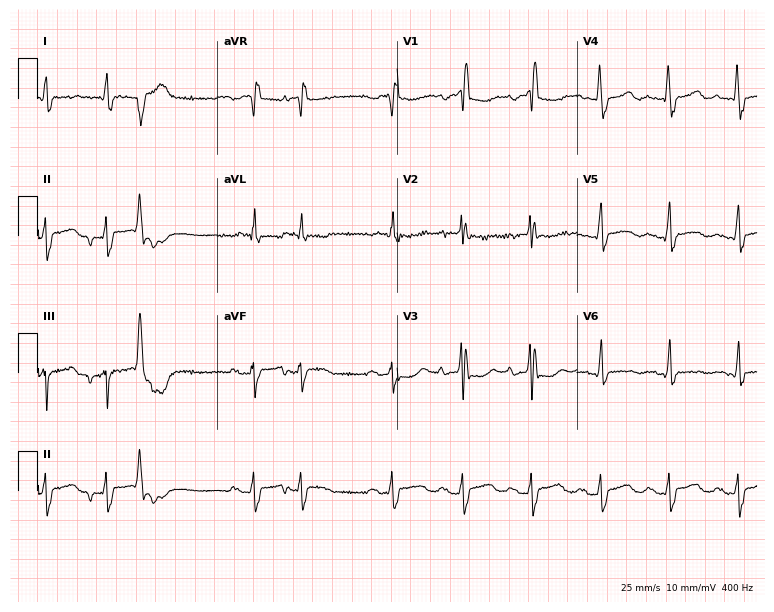
ECG — a 76-year-old female patient. Findings include right bundle branch block.